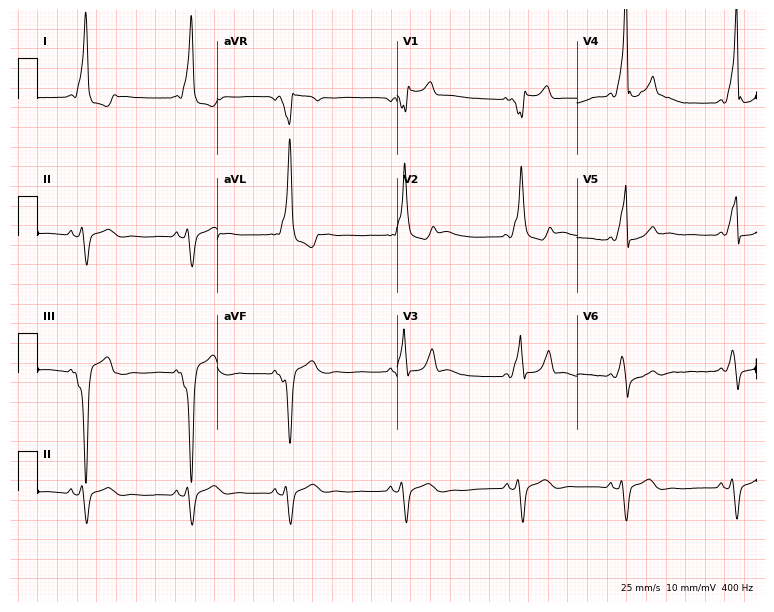
ECG (7.3-second recording at 400 Hz) — a male, 21 years old. Screened for six findings — first-degree AV block, right bundle branch block, left bundle branch block, sinus bradycardia, atrial fibrillation, sinus tachycardia — none is recorded. Only these six findings were labelled.